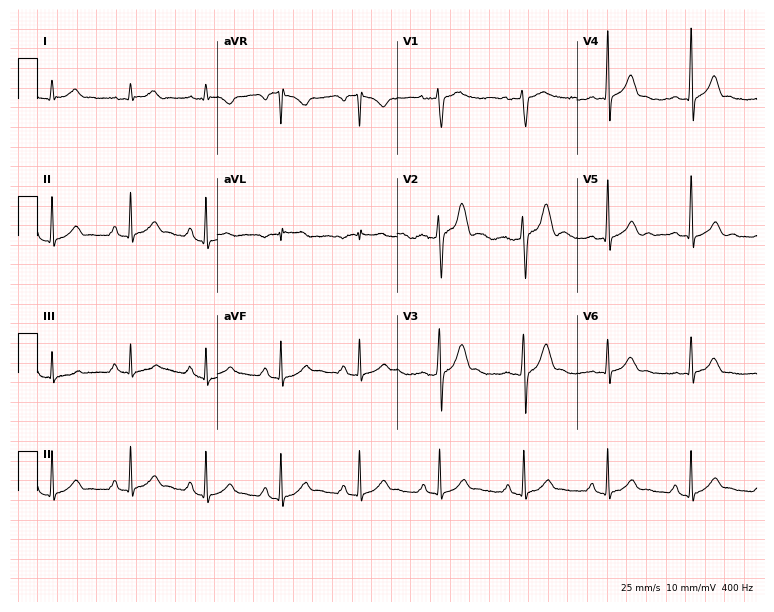
Electrocardiogram, a male, 30 years old. Of the six screened findings (first-degree AV block, right bundle branch block, left bundle branch block, sinus bradycardia, atrial fibrillation, sinus tachycardia), none is recorded.